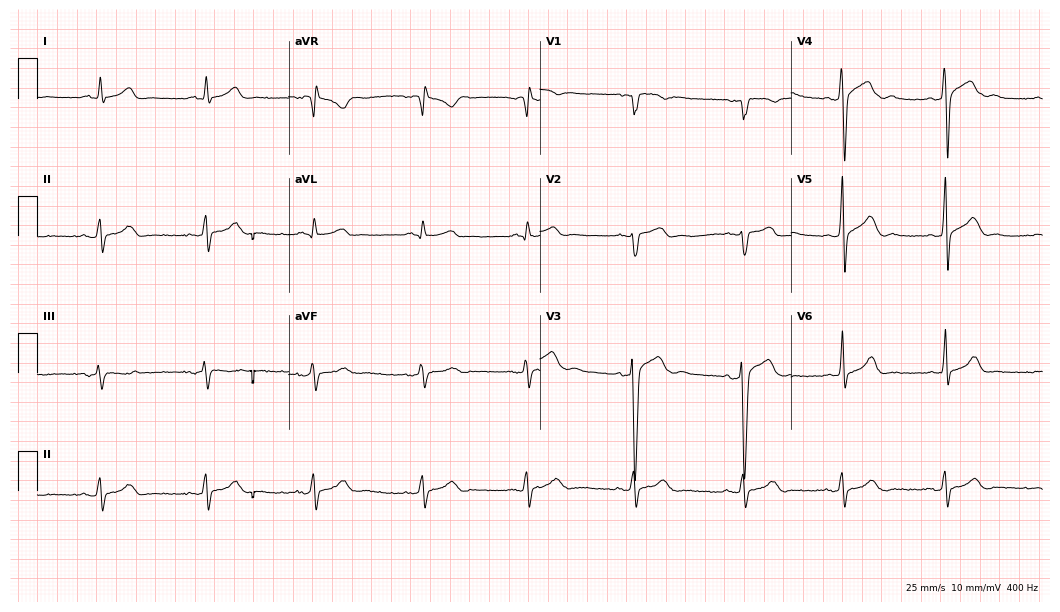
Electrocardiogram, a male, 37 years old. Overall reading on record: normal ECG.